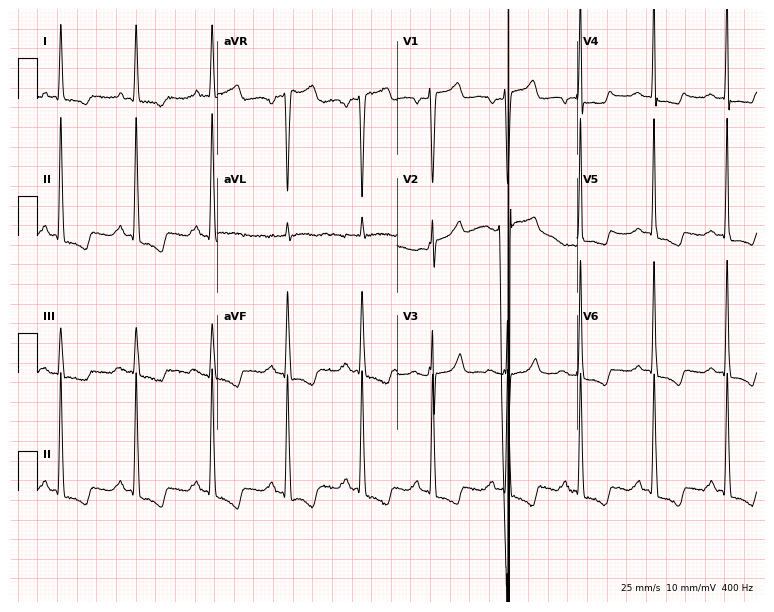
ECG (7.3-second recording at 400 Hz) — an 83-year-old female patient. Screened for six findings — first-degree AV block, right bundle branch block (RBBB), left bundle branch block (LBBB), sinus bradycardia, atrial fibrillation (AF), sinus tachycardia — none is recorded. Findings outside these six are not listed.